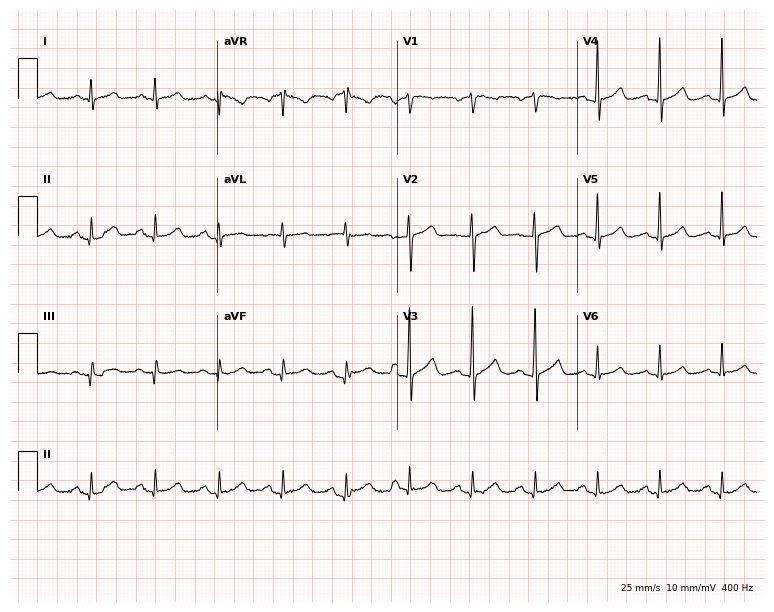
Electrocardiogram (7.3-second recording at 400 Hz), a male patient, 77 years old. Overall reading on record: normal ECG.